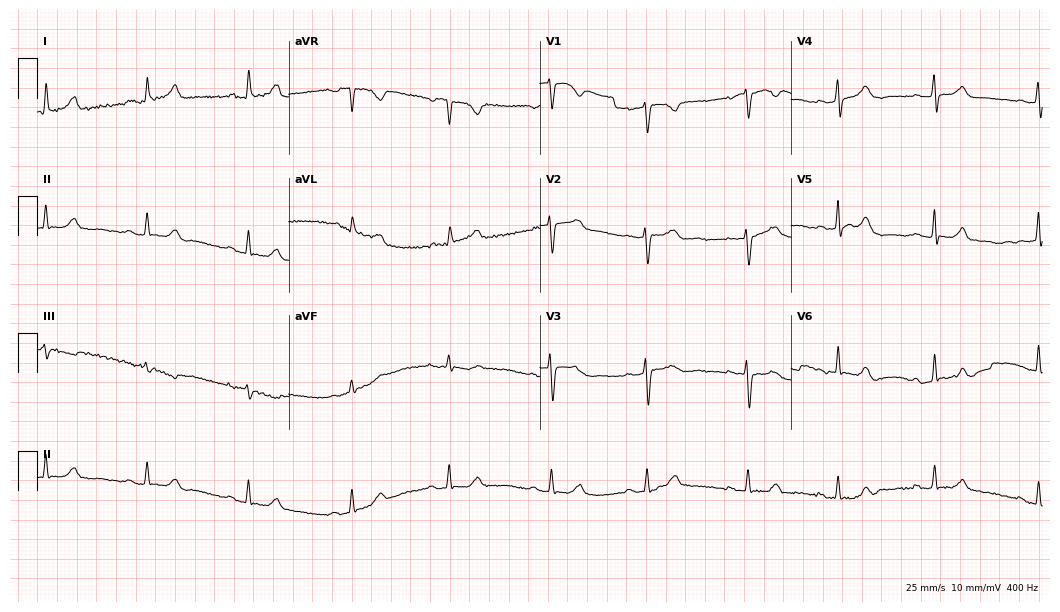
Standard 12-lead ECG recorded from a female, 39 years old (10.2-second recording at 400 Hz). Read as a normal ECG.